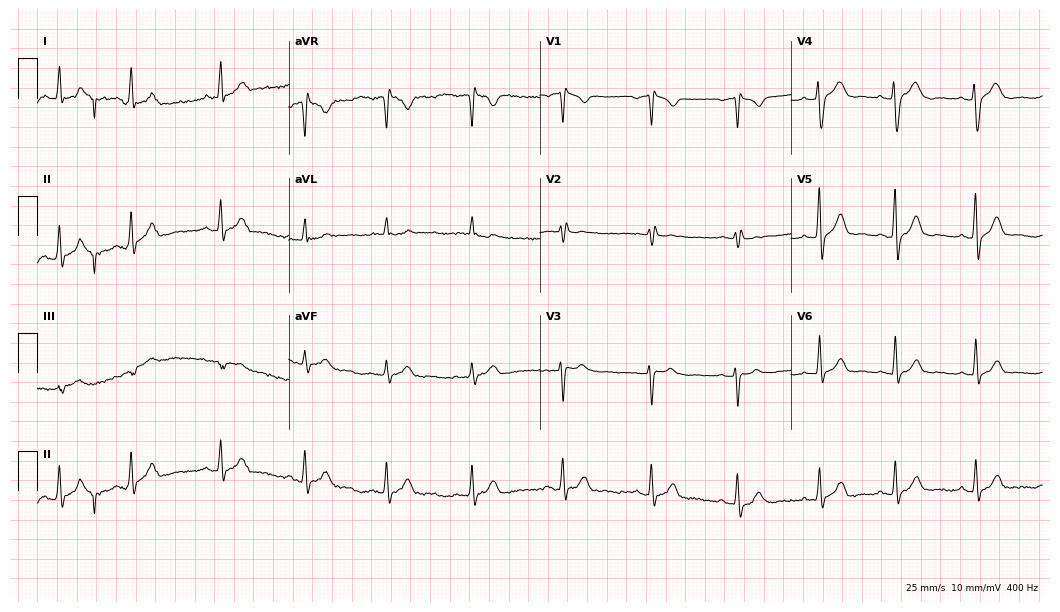
Resting 12-lead electrocardiogram (10.2-second recording at 400 Hz). Patient: a 37-year-old male. None of these six findings is recorded: first-degree AV block, right bundle branch block, left bundle branch block, sinus bradycardia, atrial fibrillation, sinus tachycardia. Only these six findings were labelled.